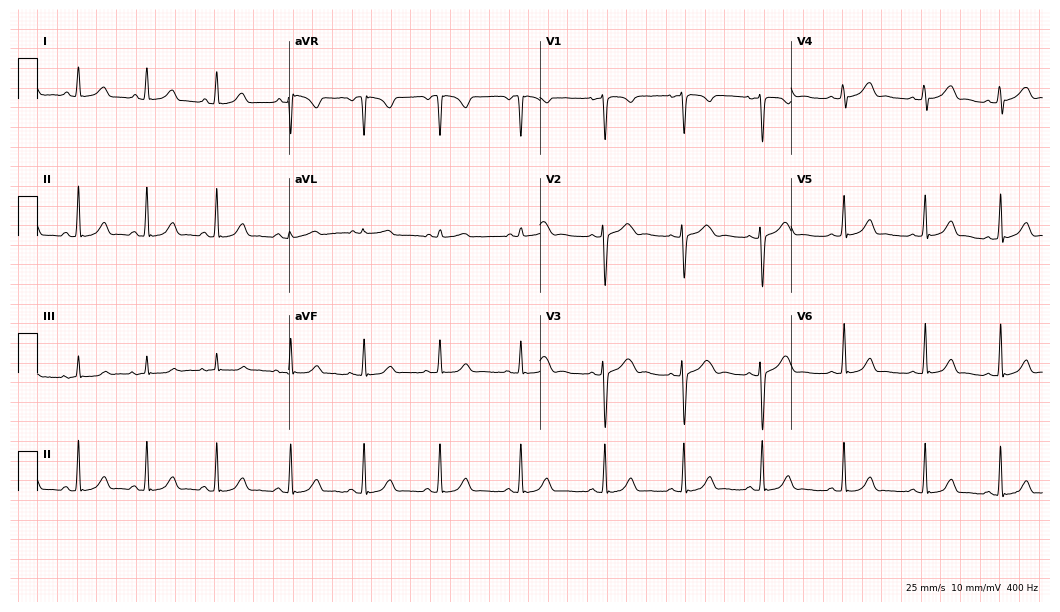
Standard 12-lead ECG recorded from a 22-year-old female (10.2-second recording at 400 Hz). Read as a normal ECG.